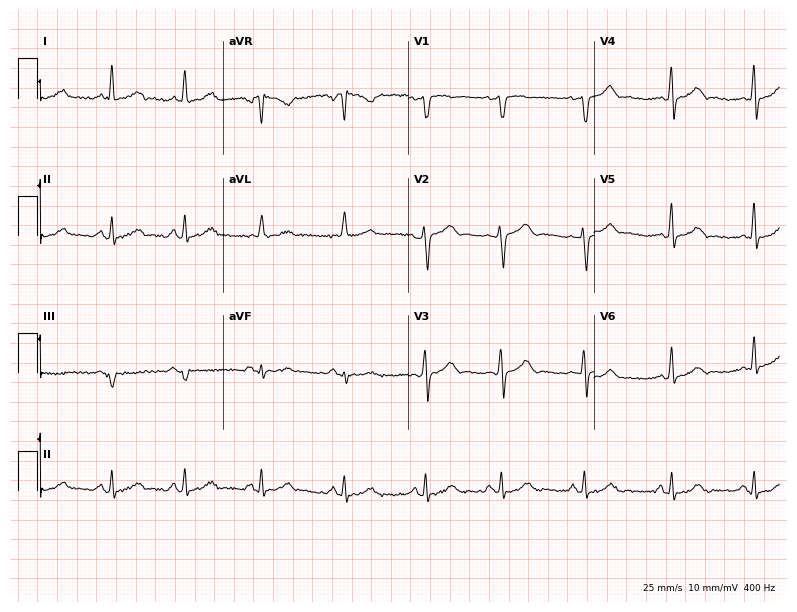
12-lead ECG from a 41-year-old woman (7.6-second recording at 400 Hz). No first-degree AV block, right bundle branch block (RBBB), left bundle branch block (LBBB), sinus bradycardia, atrial fibrillation (AF) or sinus tachycardia recorded for this tracing. Findings outside these six are not listed.